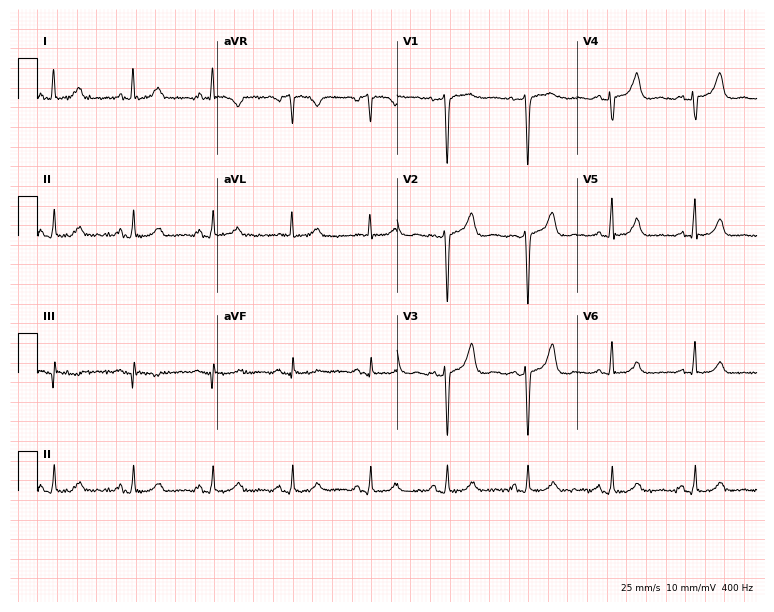
Standard 12-lead ECG recorded from a woman, 45 years old. Read as a normal ECG.